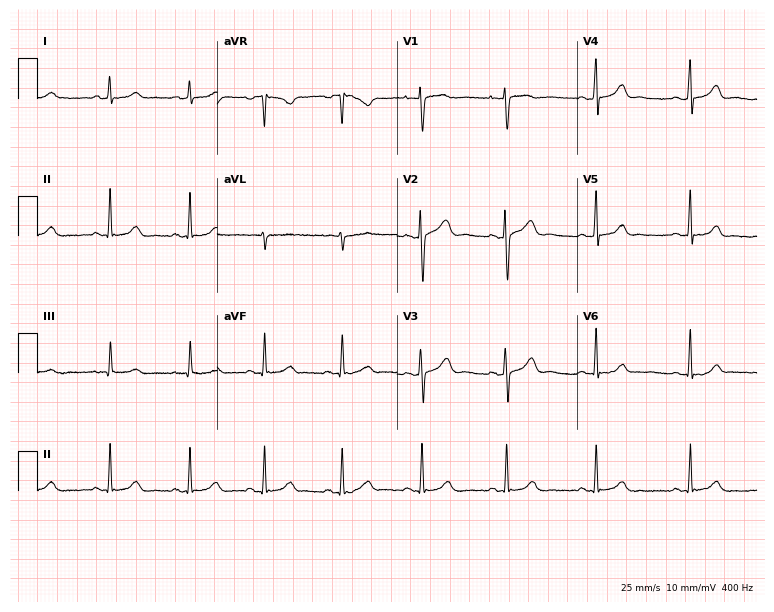
12-lead ECG from a woman, 26 years old. Screened for six findings — first-degree AV block, right bundle branch block, left bundle branch block, sinus bradycardia, atrial fibrillation, sinus tachycardia — none is recorded.